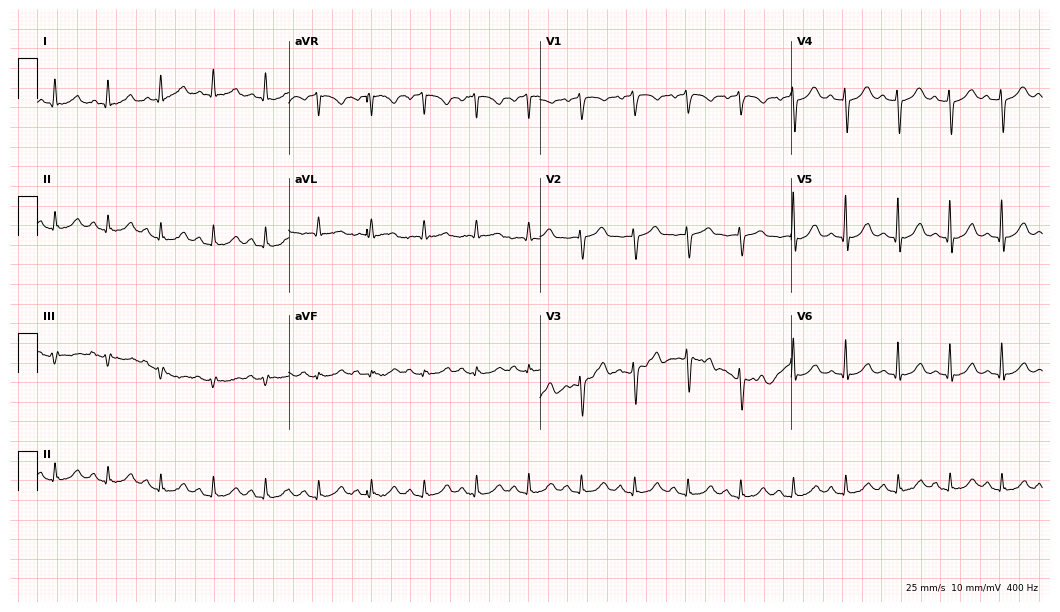
Resting 12-lead electrocardiogram (10.2-second recording at 400 Hz). Patient: a woman, 81 years old. The tracing shows sinus tachycardia (a sinus rate of 100 beats per minute or more).